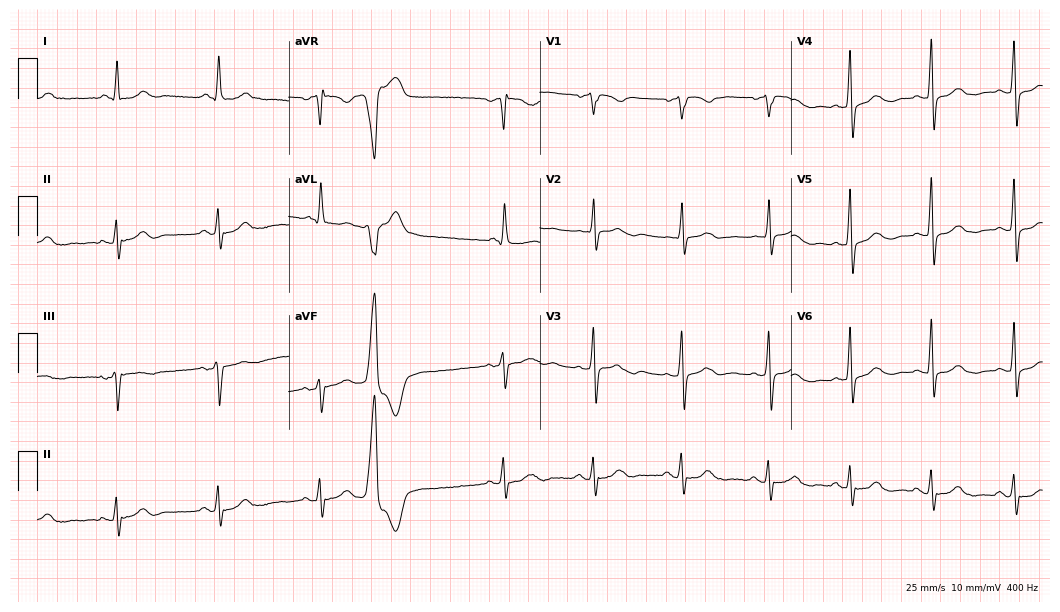
ECG (10.2-second recording at 400 Hz) — a 70-year-old female. Screened for six findings — first-degree AV block, right bundle branch block, left bundle branch block, sinus bradycardia, atrial fibrillation, sinus tachycardia — none is recorded. Findings outside these six are not listed.